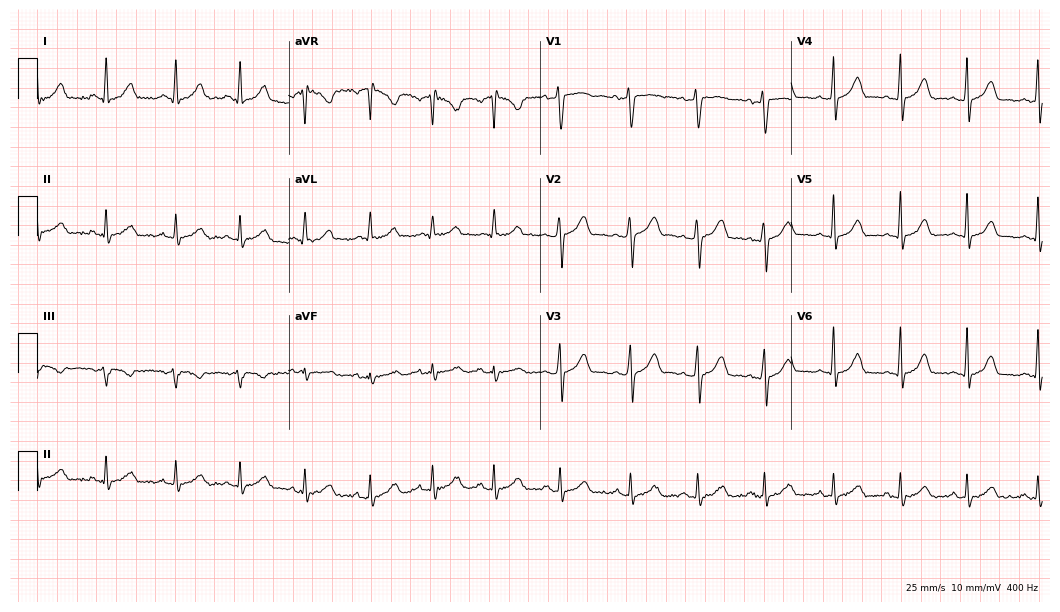
12-lead ECG (10.2-second recording at 400 Hz) from a woman, 35 years old. Labelled as a normal ECG.